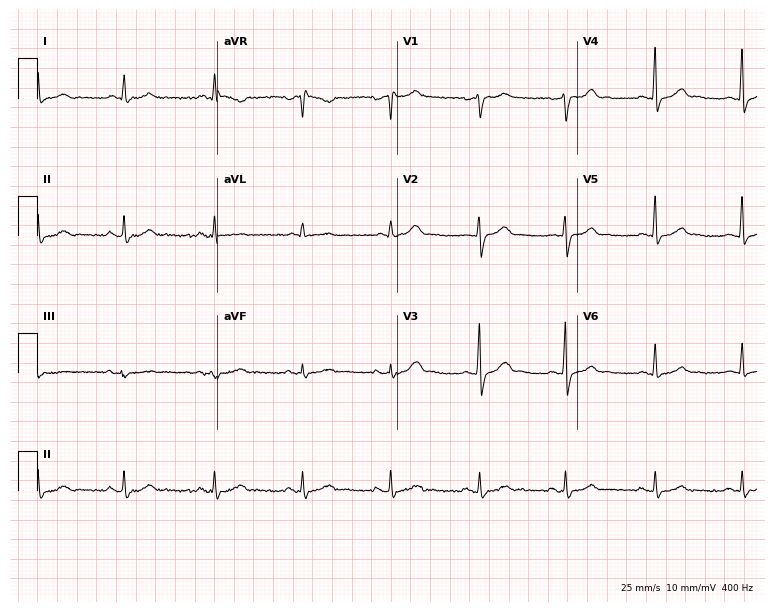
Standard 12-lead ECG recorded from a 42-year-old man. Read as a normal ECG.